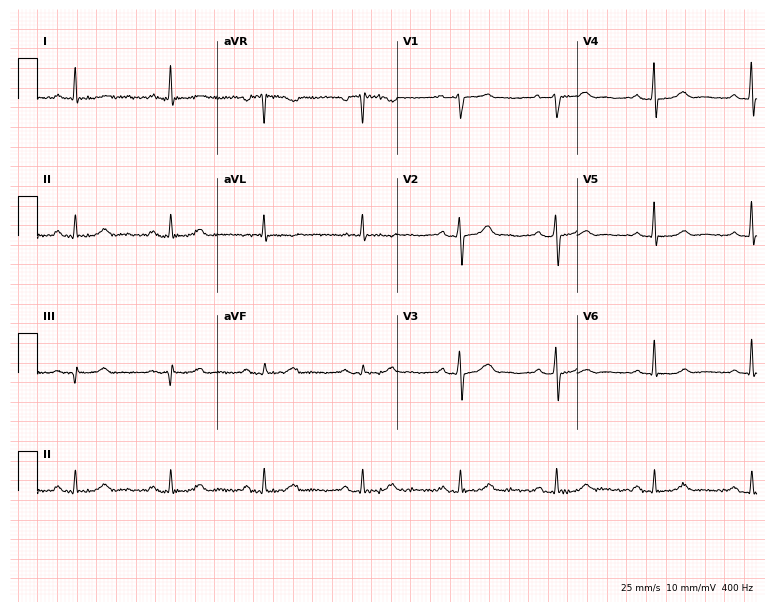
12-lead ECG from a 60-year-old man. Recorded interpretation: within normal limits.